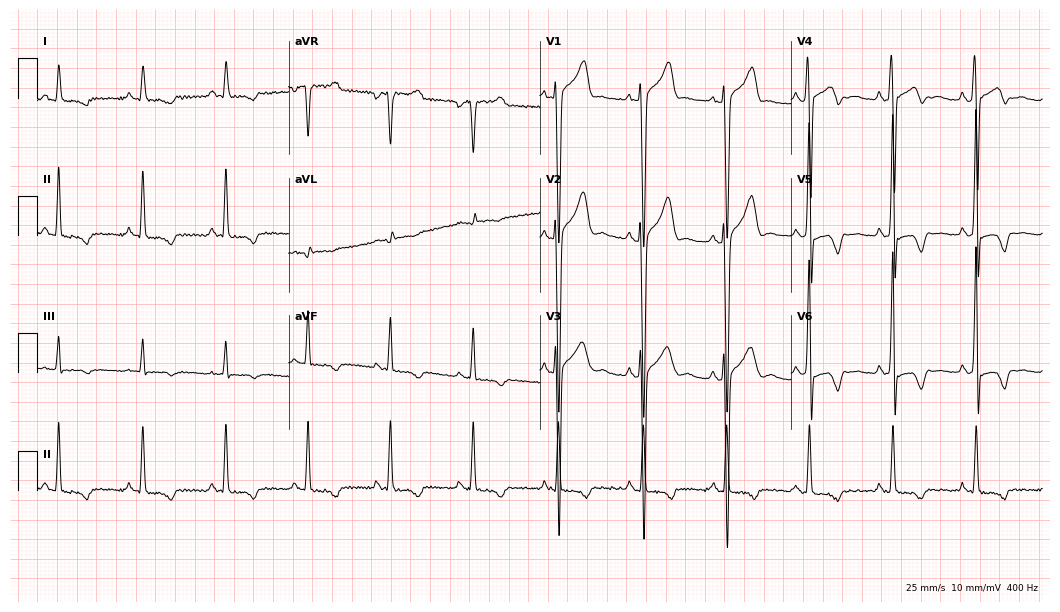
12-lead ECG from a 57-year-old male. Screened for six findings — first-degree AV block, right bundle branch block (RBBB), left bundle branch block (LBBB), sinus bradycardia, atrial fibrillation (AF), sinus tachycardia — none is recorded. Other findings, if any, are not listed.